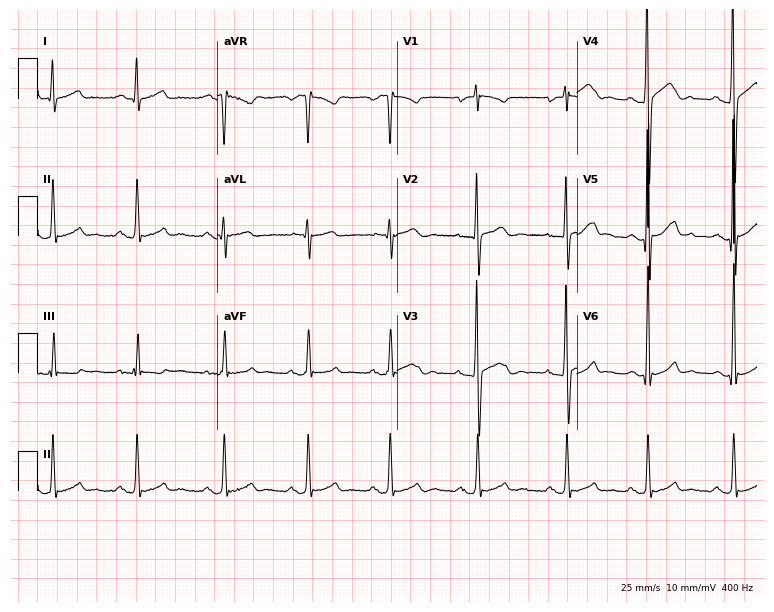
12-lead ECG from a man, 18 years old (7.3-second recording at 400 Hz). Recorded interpretation: within normal limits.